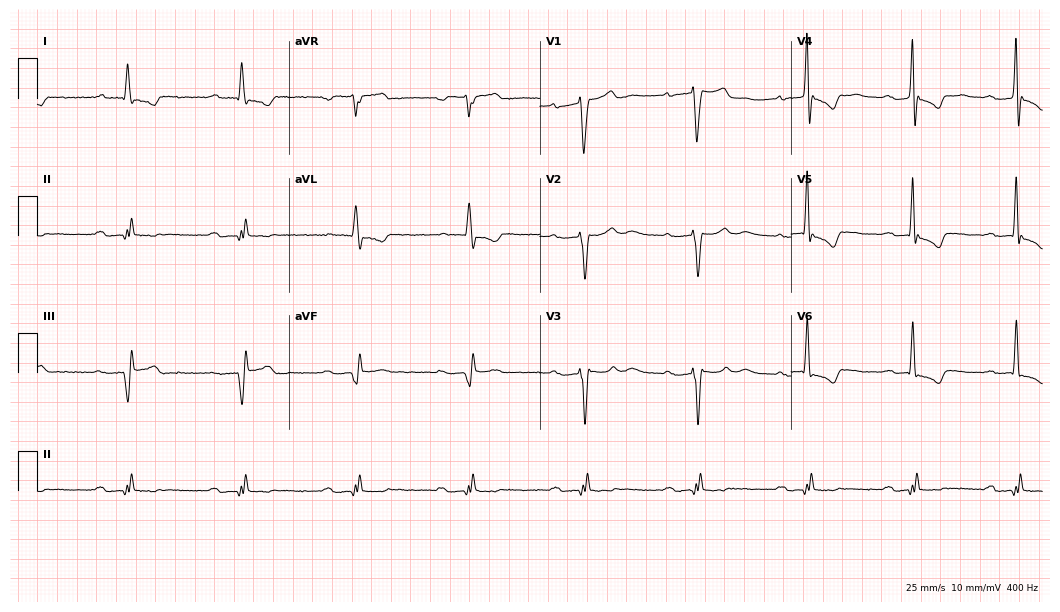
12-lead ECG from a male, 80 years old. No first-degree AV block, right bundle branch block (RBBB), left bundle branch block (LBBB), sinus bradycardia, atrial fibrillation (AF) or sinus tachycardia recorded for this tracing. Only these six findings were labelled.